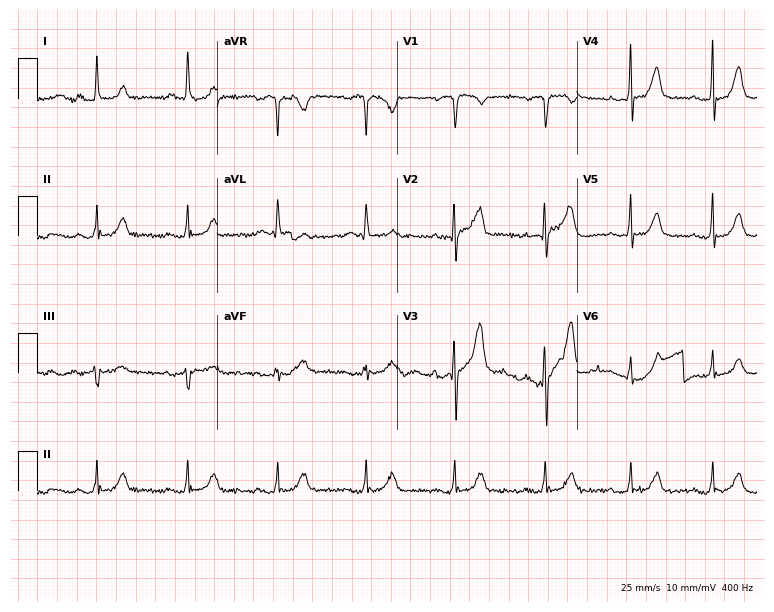
12-lead ECG from an 82-year-old male patient. Screened for six findings — first-degree AV block, right bundle branch block, left bundle branch block, sinus bradycardia, atrial fibrillation, sinus tachycardia — none is recorded. Findings outside these six are not listed.